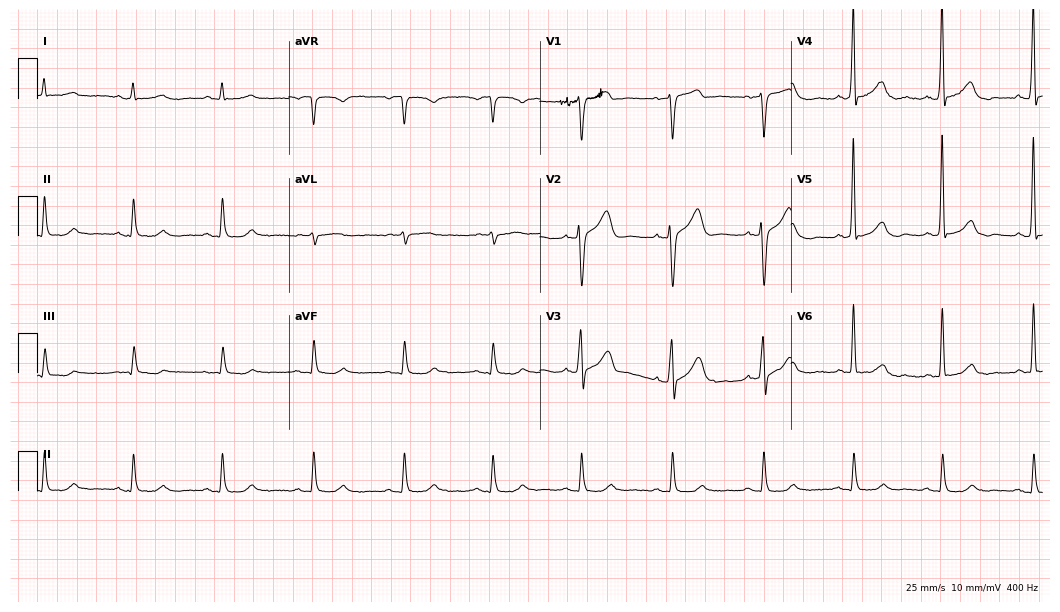
Electrocardiogram, a 64-year-old male patient. Overall reading on record: normal ECG.